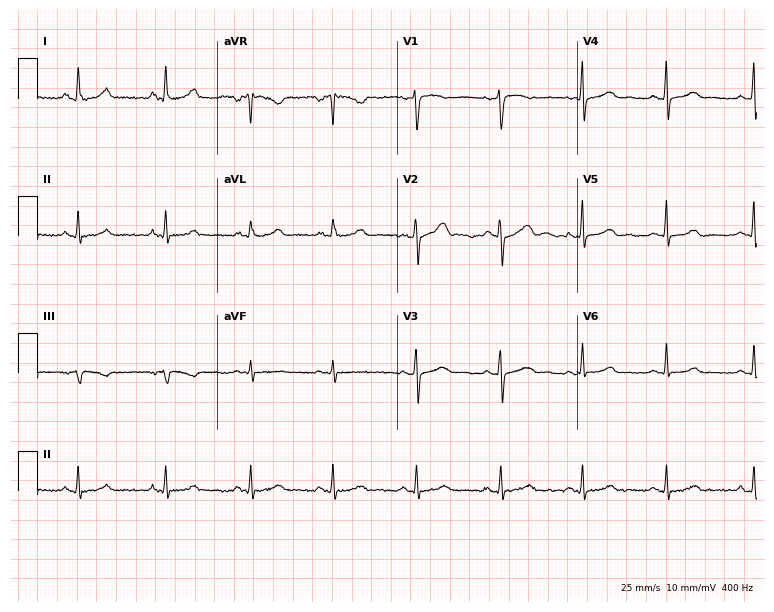
Electrocardiogram, a 46-year-old female patient. Of the six screened findings (first-degree AV block, right bundle branch block (RBBB), left bundle branch block (LBBB), sinus bradycardia, atrial fibrillation (AF), sinus tachycardia), none is recorded.